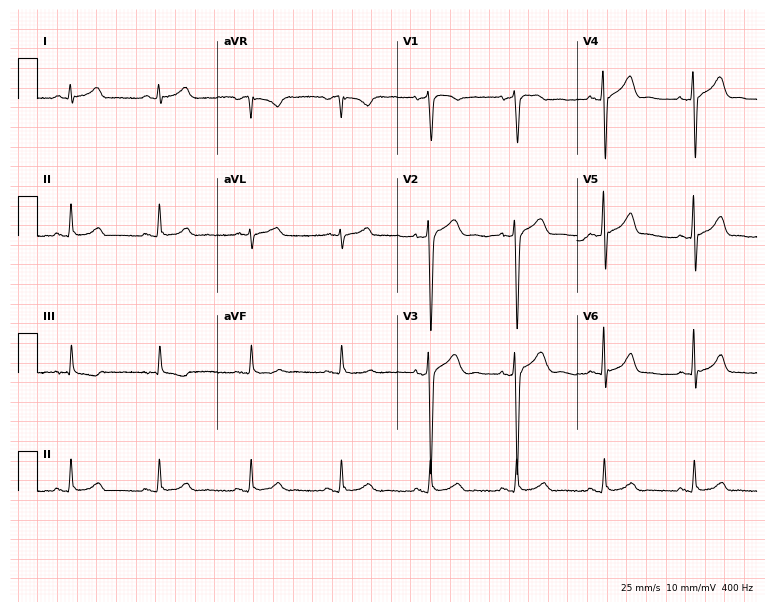
Resting 12-lead electrocardiogram (7.3-second recording at 400 Hz). Patient: a male, 64 years old. Read as a normal ECG.